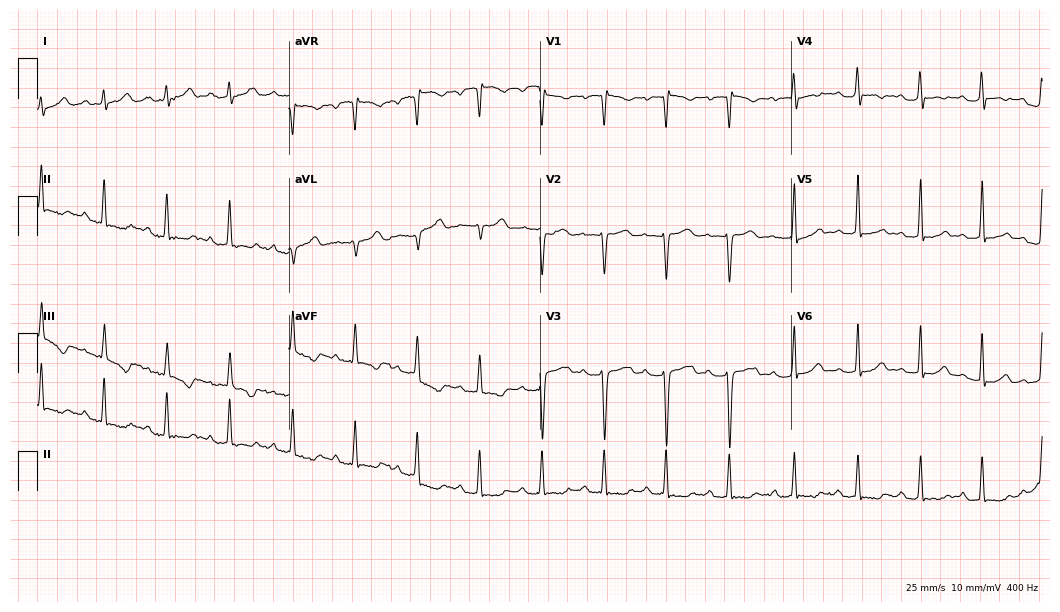
12-lead ECG from a female patient, 22 years old. Labelled as a normal ECG.